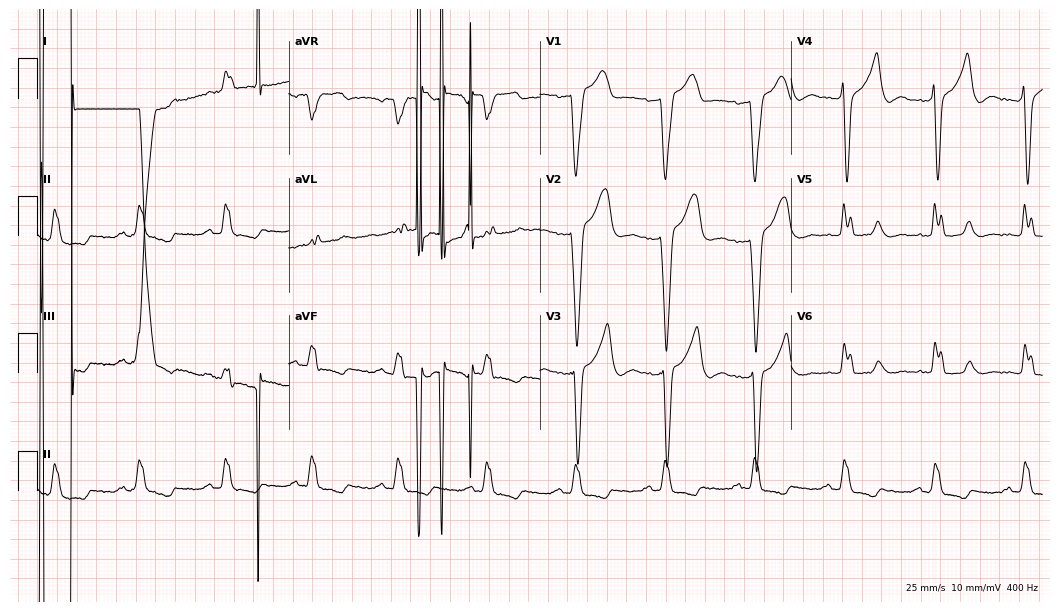
Standard 12-lead ECG recorded from a 73-year-old male (10.2-second recording at 400 Hz). None of these six findings is recorded: first-degree AV block, right bundle branch block, left bundle branch block, sinus bradycardia, atrial fibrillation, sinus tachycardia. Only these six findings were labelled.